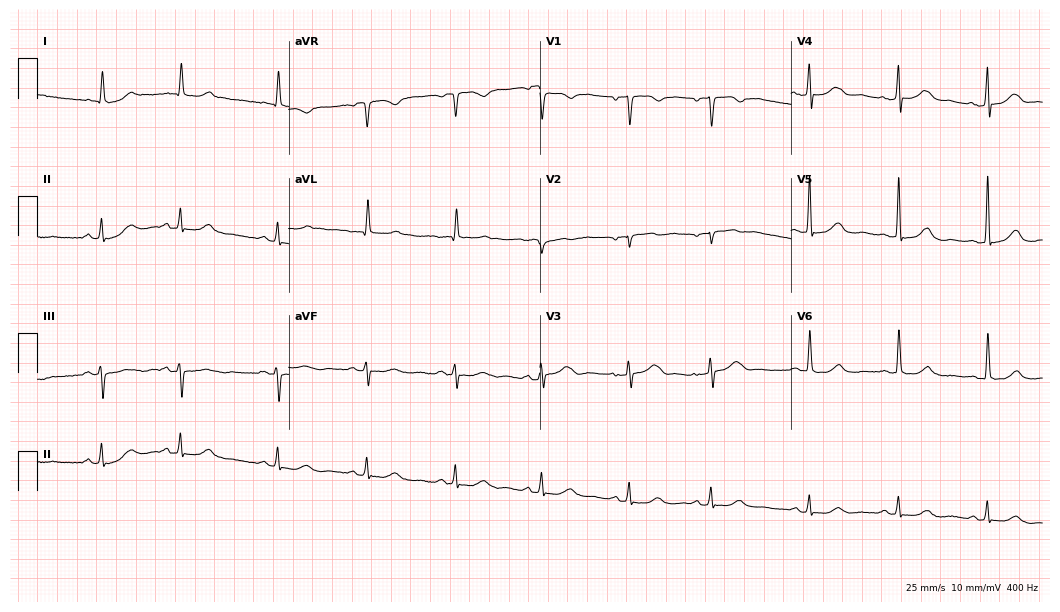
12-lead ECG (10.2-second recording at 400 Hz) from an 80-year-old woman. Screened for six findings — first-degree AV block, right bundle branch block, left bundle branch block, sinus bradycardia, atrial fibrillation, sinus tachycardia — none is recorded.